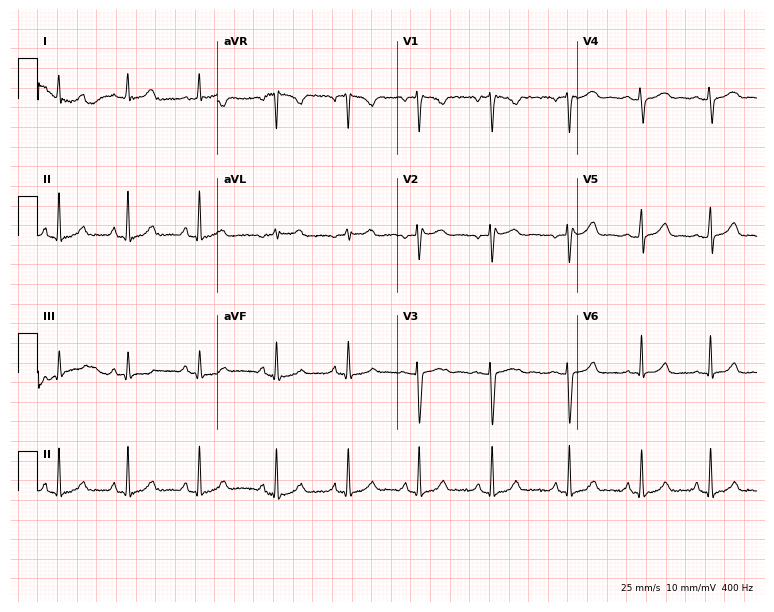
Standard 12-lead ECG recorded from a female, 27 years old (7.3-second recording at 400 Hz). None of these six findings is recorded: first-degree AV block, right bundle branch block (RBBB), left bundle branch block (LBBB), sinus bradycardia, atrial fibrillation (AF), sinus tachycardia. Only these six findings were labelled.